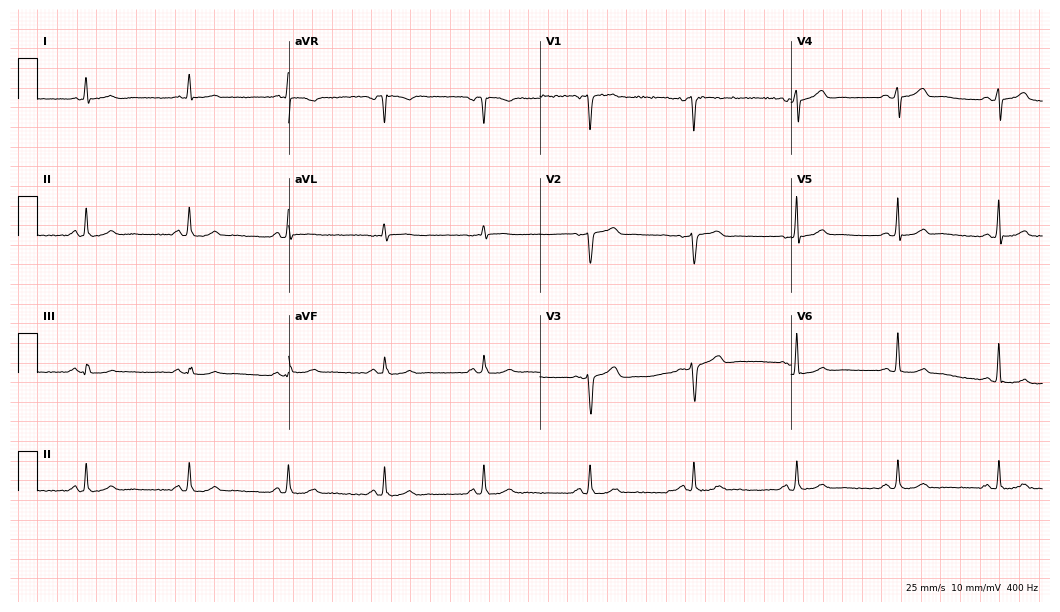
ECG — a 51-year-old male. Screened for six findings — first-degree AV block, right bundle branch block, left bundle branch block, sinus bradycardia, atrial fibrillation, sinus tachycardia — none is recorded. Other findings, if any, are not listed.